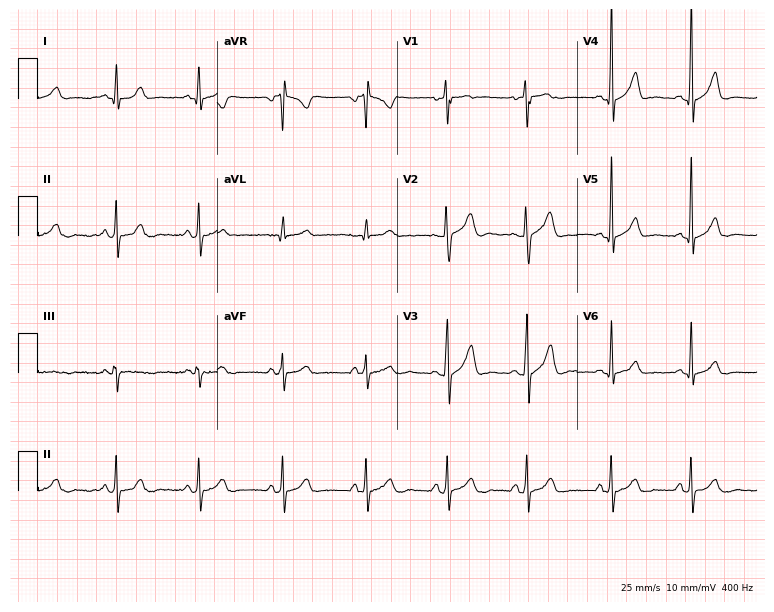
Resting 12-lead electrocardiogram (7.3-second recording at 400 Hz). Patient: a male, 27 years old. Read as a normal ECG.